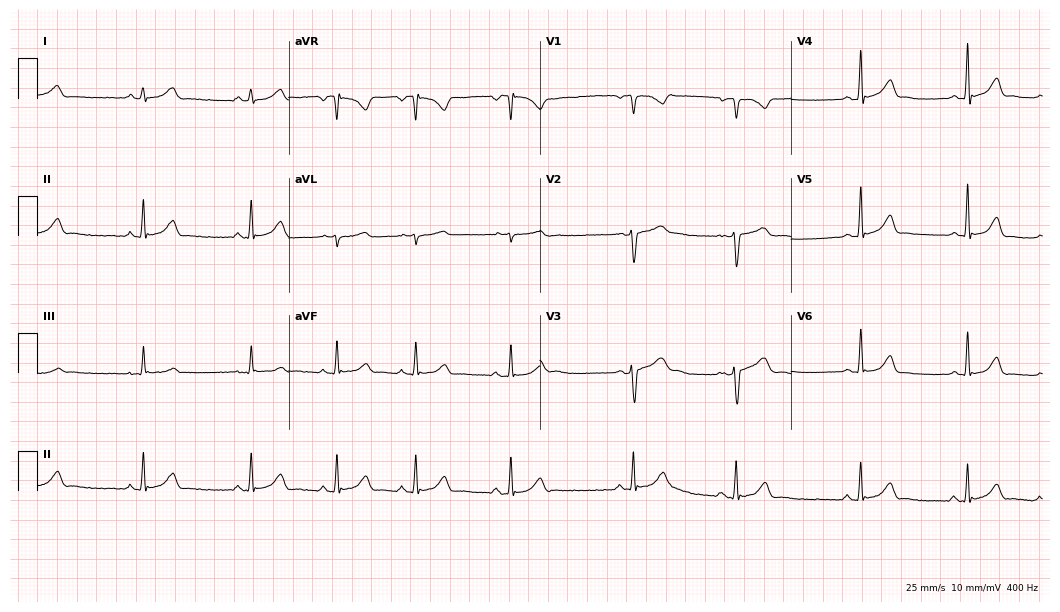
Resting 12-lead electrocardiogram. Patient: an 18-year-old woman. Read as a normal ECG.